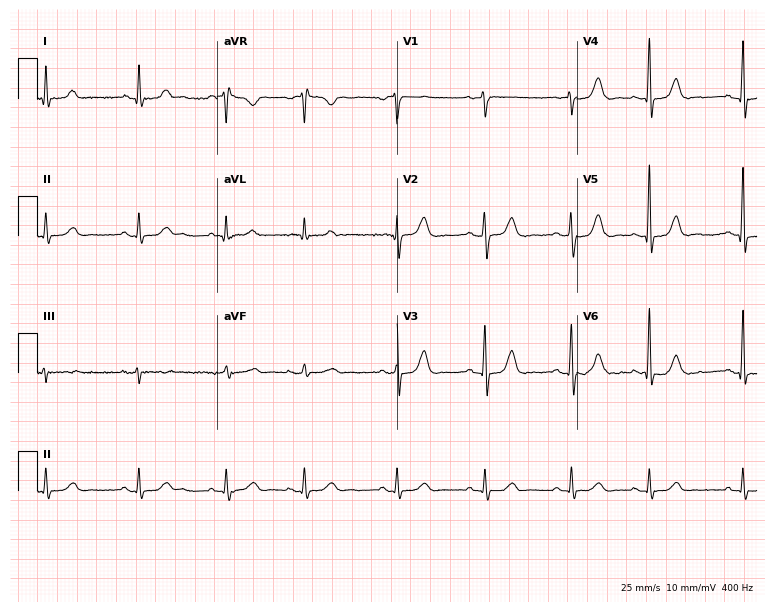
Standard 12-lead ECG recorded from a female, 54 years old (7.3-second recording at 400 Hz). Read as a normal ECG.